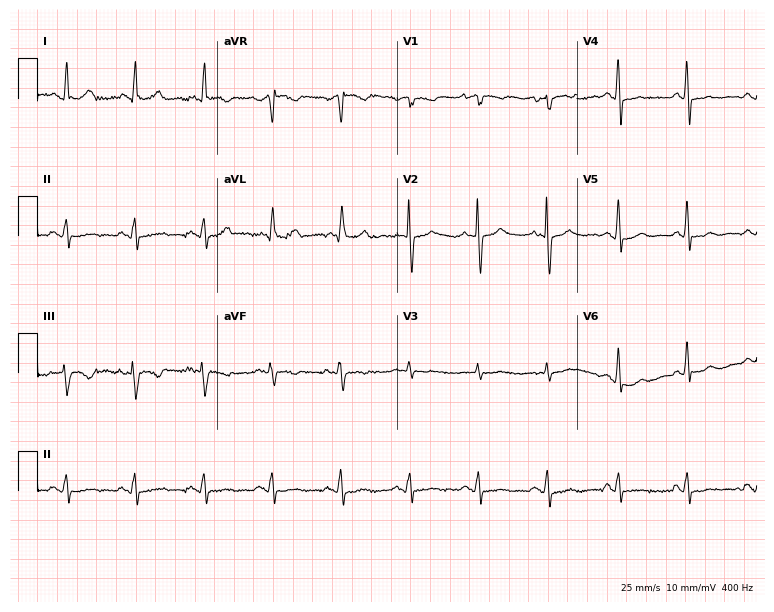
Resting 12-lead electrocardiogram (7.3-second recording at 400 Hz). Patient: an 83-year-old woman. Read as a normal ECG.